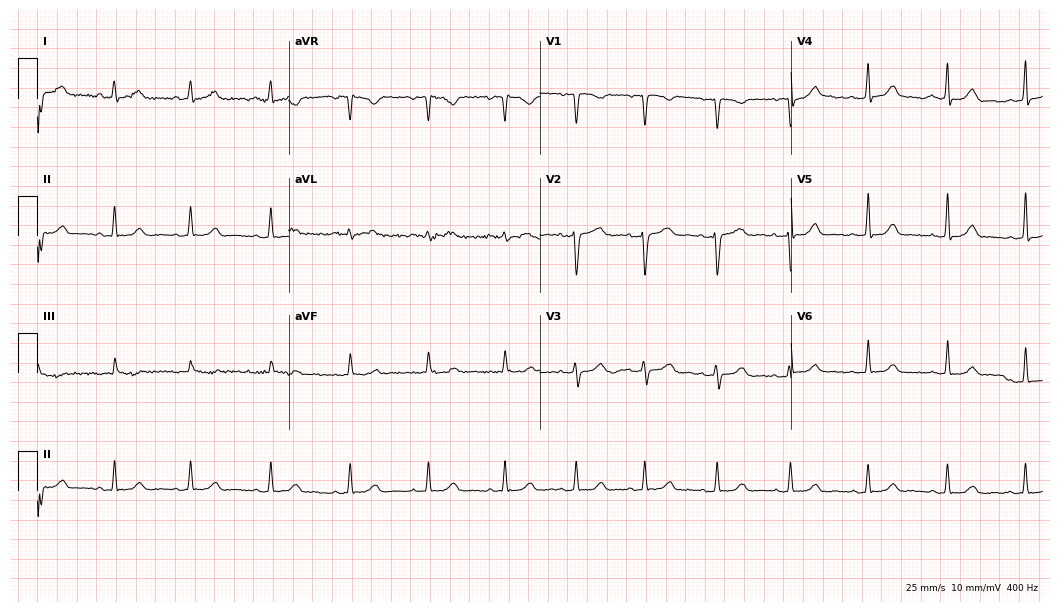
12-lead ECG from a 40-year-old woman. Labelled as a normal ECG.